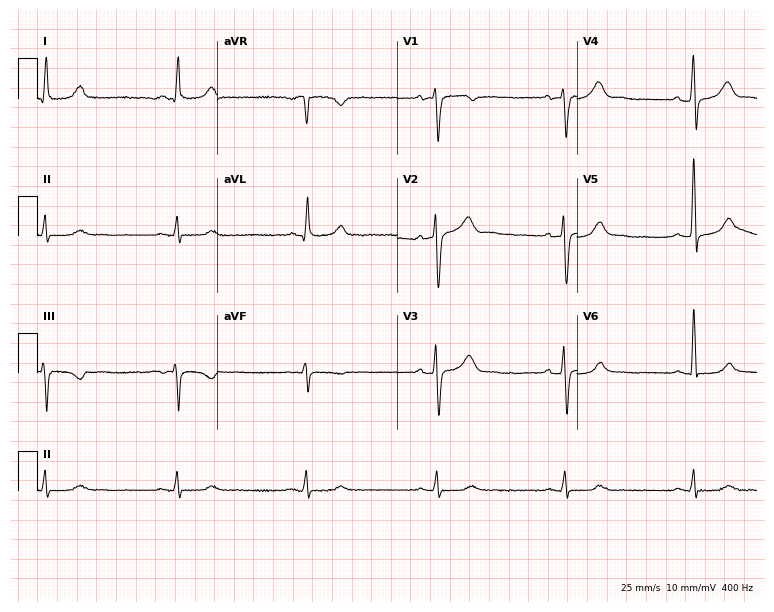
ECG (7.3-second recording at 400 Hz) — a male patient, 62 years old. Findings include sinus bradycardia (a sinus rate of 50 beats per minute or less).